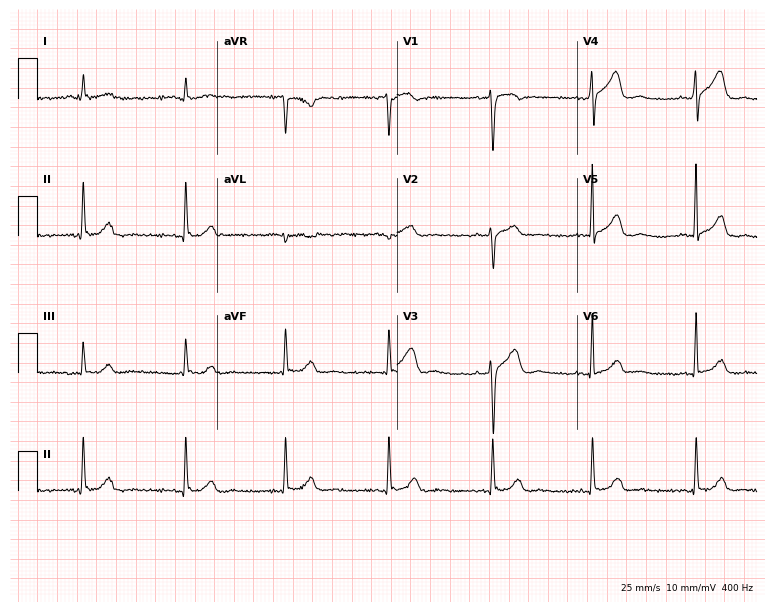
Standard 12-lead ECG recorded from a 72-year-old male patient (7.3-second recording at 400 Hz). Read as a normal ECG.